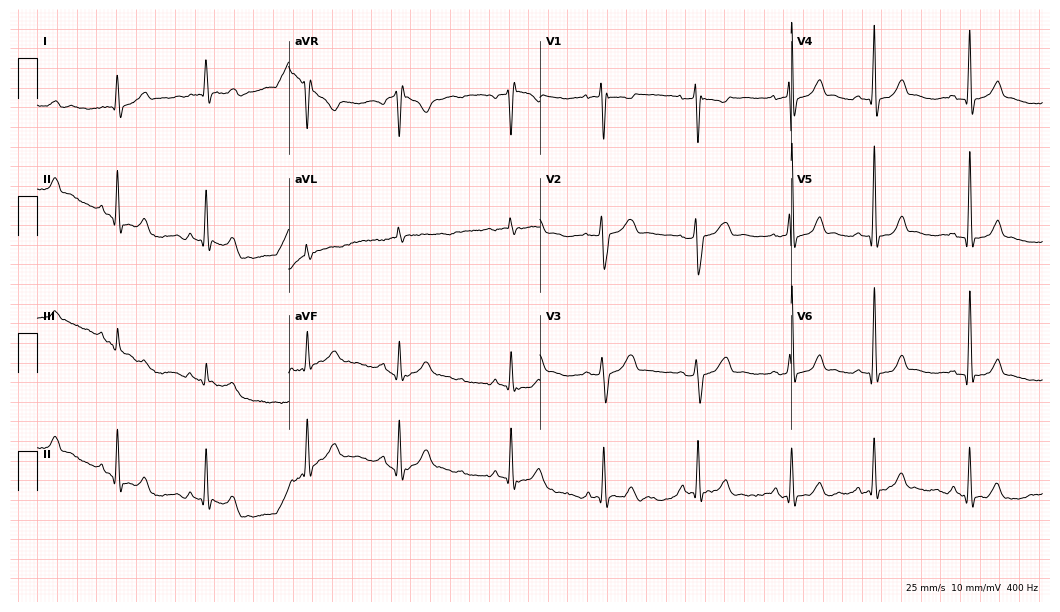
12-lead ECG from a 23-year-old female patient. Screened for six findings — first-degree AV block, right bundle branch block, left bundle branch block, sinus bradycardia, atrial fibrillation, sinus tachycardia — none is recorded.